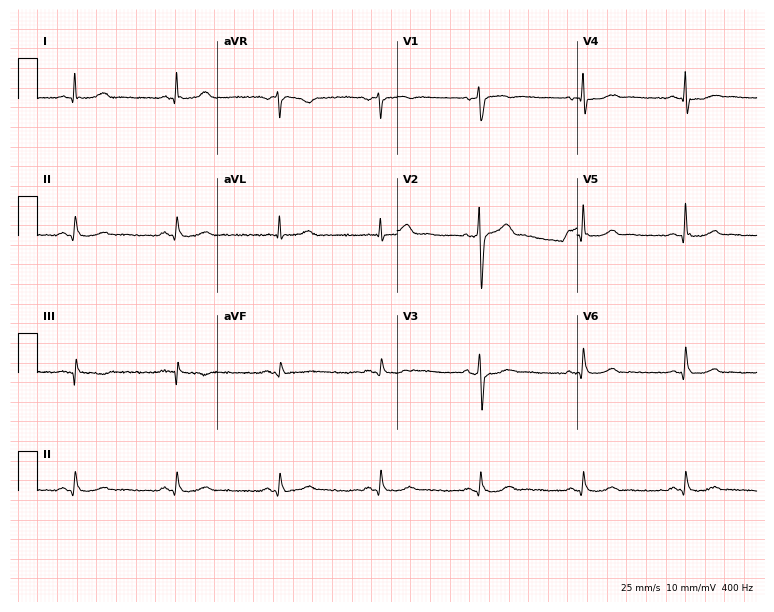
Resting 12-lead electrocardiogram (7.3-second recording at 400 Hz). Patient: a 61-year-old man. Read as a normal ECG.